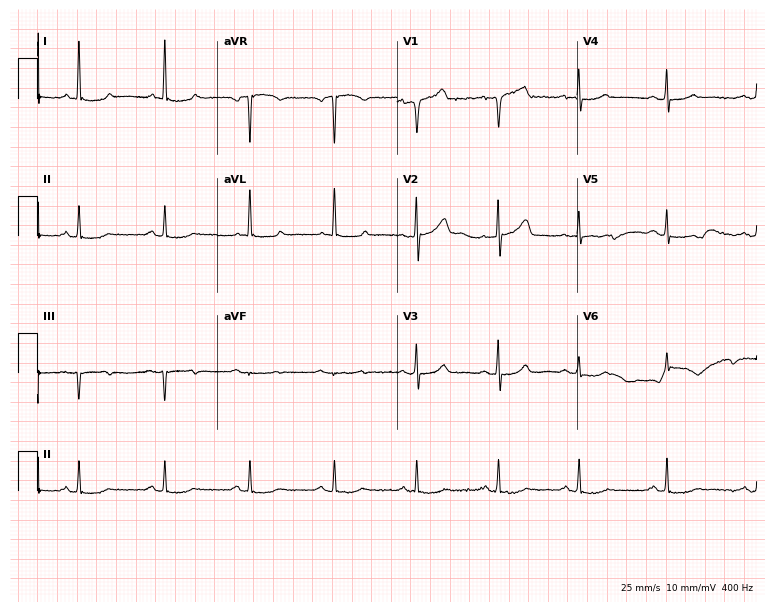
ECG (7.3-second recording at 400 Hz) — a woman, 49 years old. Screened for six findings — first-degree AV block, right bundle branch block (RBBB), left bundle branch block (LBBB), sinus bradycardia, atrial fibrillation (AF), sinus tachycardia — none is recorded.